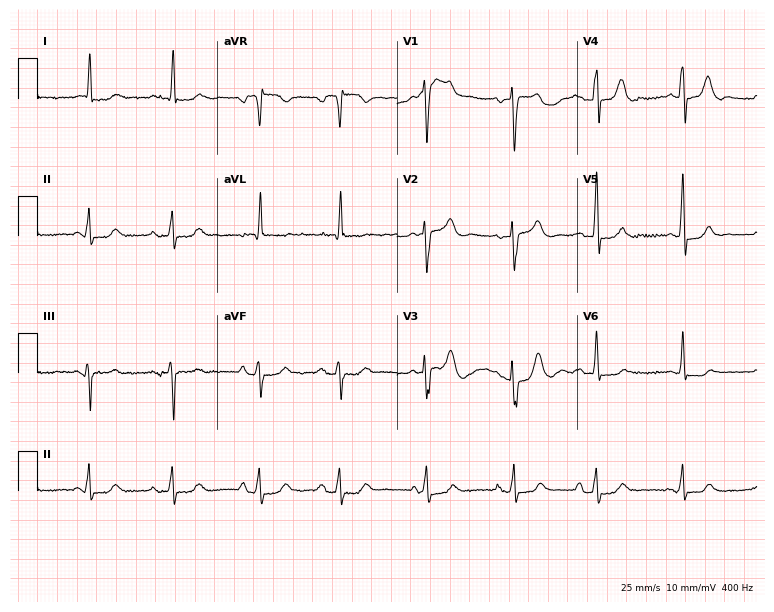
ECG — an 81-year-old male. Screened for six findings — first-degree AV block, right bundle branch block (RBBB), left bundle branch block (LBBB), sinus bradycardia, atrial fibrillation (AF), sinus tachycardia — none is recorded.